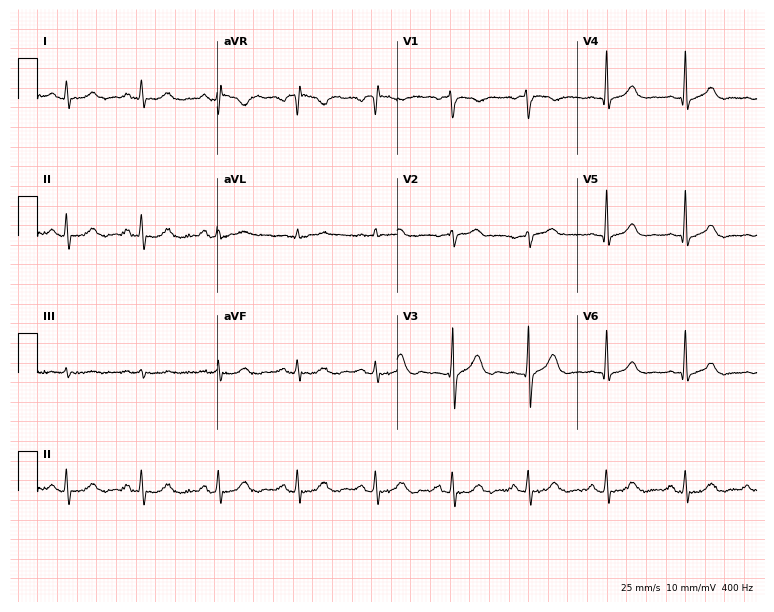
Electrocardiogram (7.3-second recording at 400 Hz), a 66-year-old male patient. Of the six screened findings (first-degree AV block, right bundle branch block, left bundle branch block, sinus bradycardia, atrial fibrillation, sinus tachycardia), none is recorded. Only these six findings were labelled.